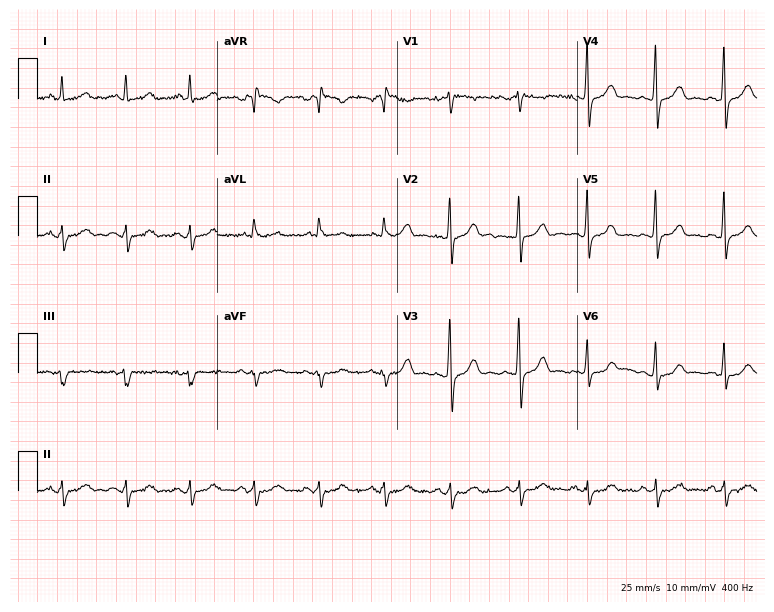
Standard 12-lead ECG recorded from a 51-year-old female (7.3-second recording at 400 Hz). None of these six findings is recorded: first-degree AV block, right bundle branch block, left bundle branch block, sinus bradycardia, atrial fibrillation, sinus tachycardia. Findings outside these six are not listed.